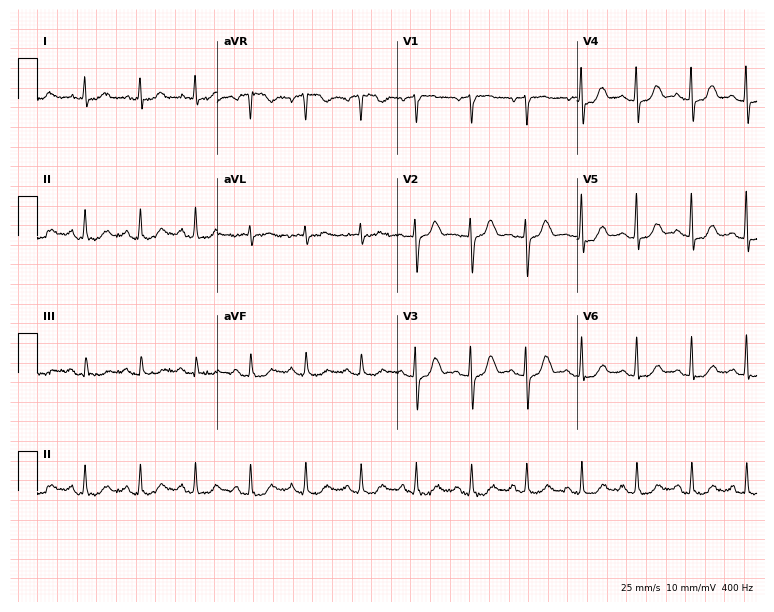
Resting 12-lead electrocardiogram. Patient: a woman, 82 years old. The tracing shows sinus tachycardia (a sinus rate of 100 beats per minute or more).